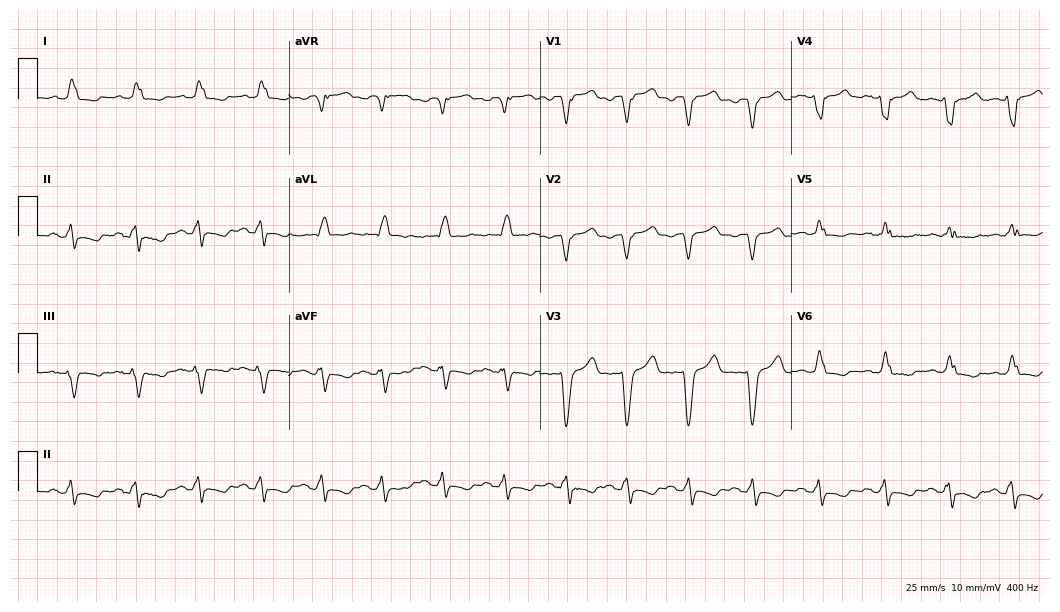
Standard 12-lead ECG recorded from a female patient, 62 years old (10.2-second recording at 400 Hz). The tracing shows left bundle branch block.